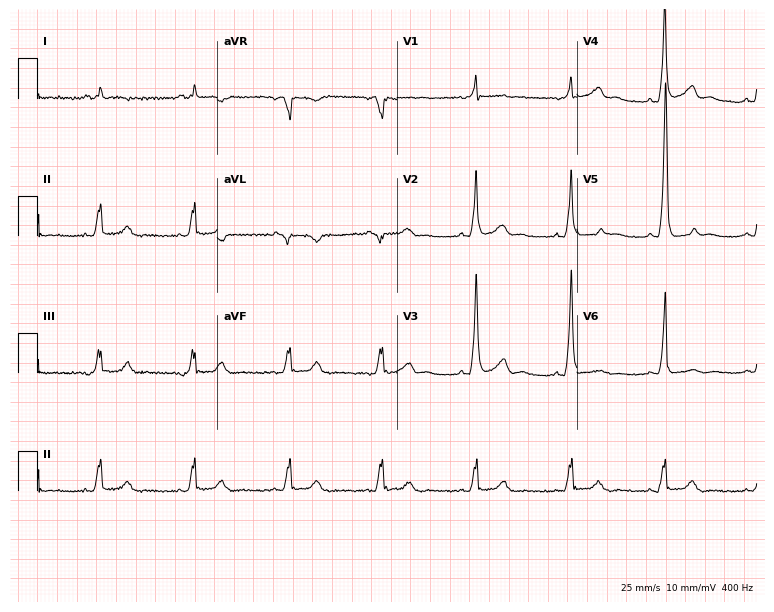
Electrocardiogram, a 50-year-old man. Of the six screened findings (first-degree AV block, right bundle branch block (RBBB), left bundle branch block (LBBB), sinus bradycardia, atrial fibrillation (AF), sinus tachycardia), none is recorded. Only these six findings were labelled.